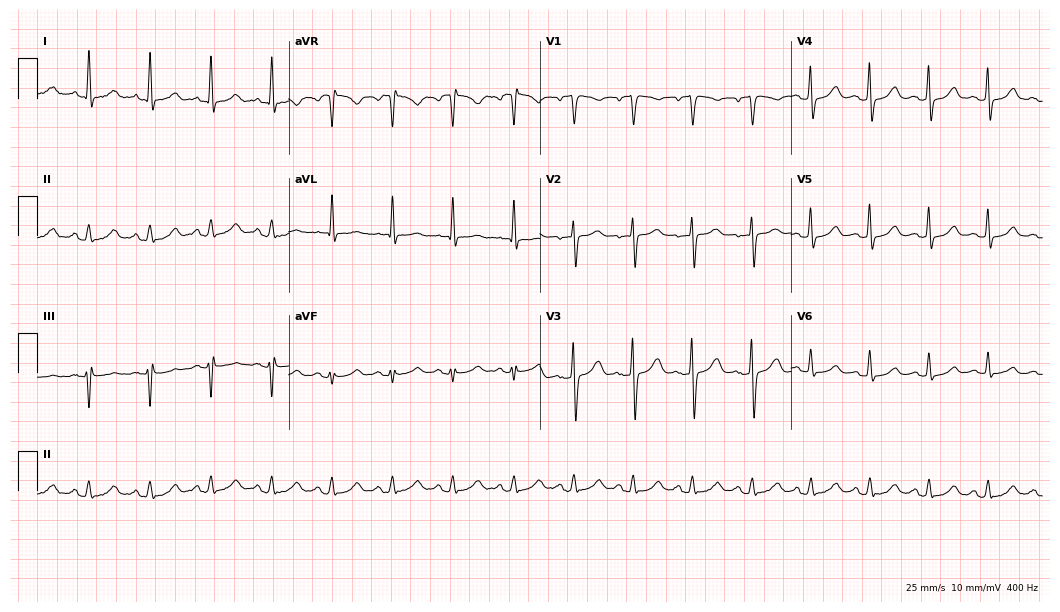
12-lead ECG from a 55-year-old female patient (10.2-second recording at 400 Hz). Recorded interpretation: within normal limits.